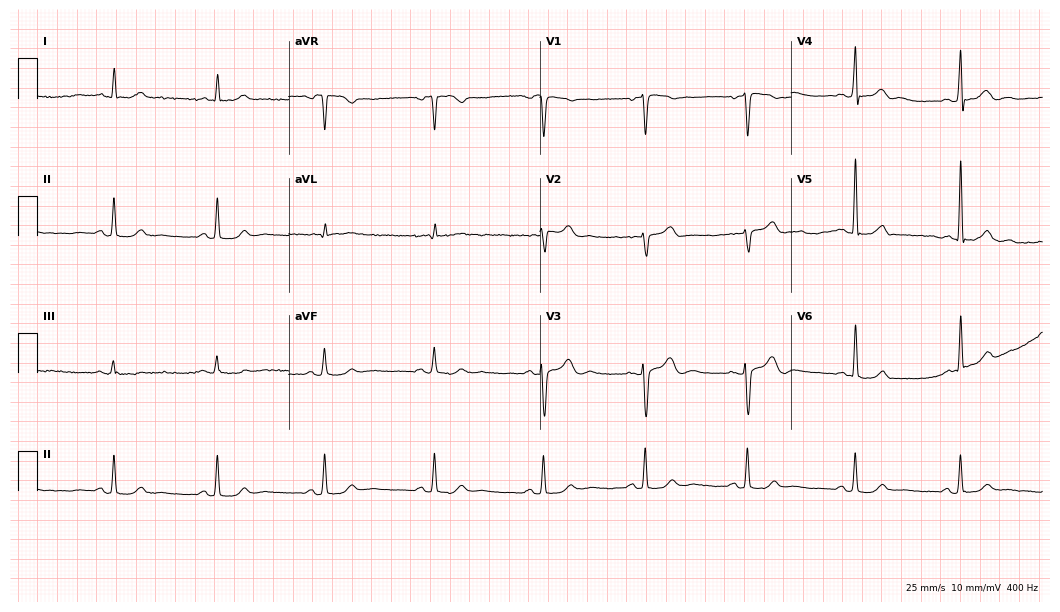
Electrocardiogram, a 60-year-old male patient. Overall reading on record: normal ECG.